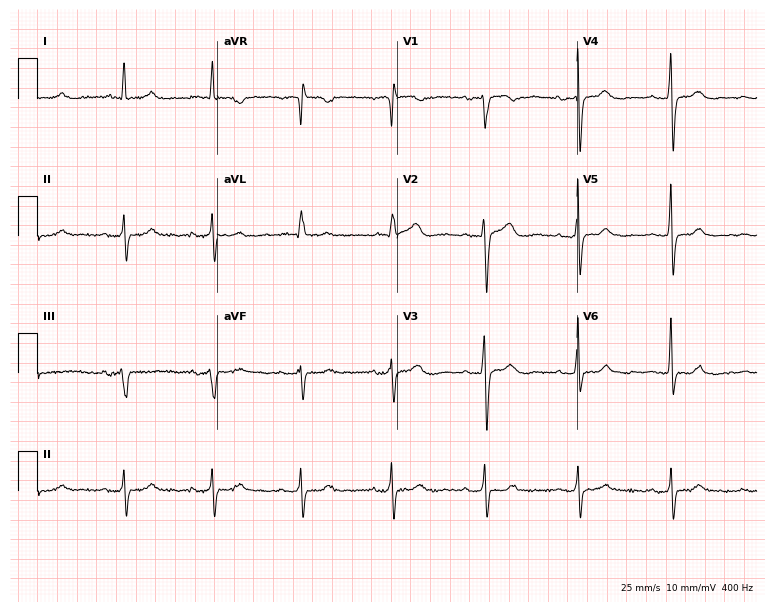
Standard 12-lead ECG recorded from a 70-year-old woman (7.3-second recording at 400 Hz). None of these six findings is recorded: first-degree AV block, right bundle branch block, left bundle branch block, sinus bradycardia, atrial fibrillation, sinus tachycardia.